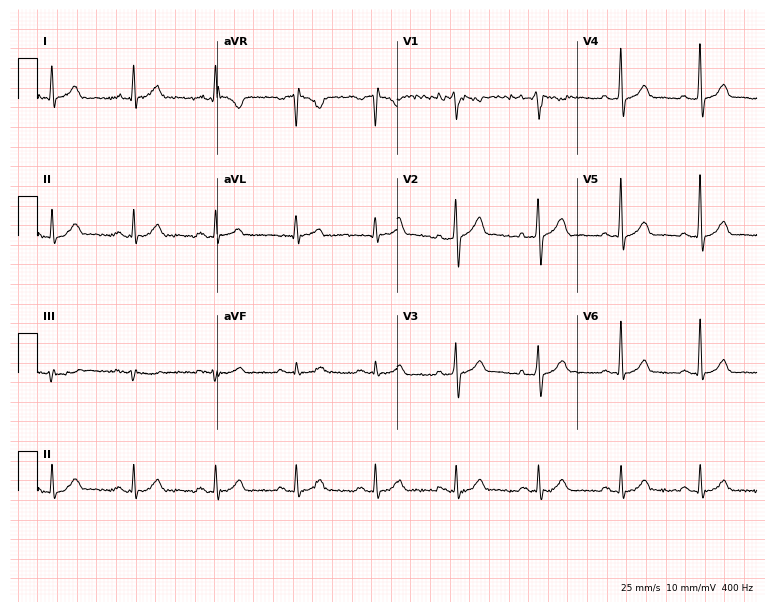
ECG (7.3-second recording at 400 Hz) — a 45-year-old man. Labelled as a normal ECG.